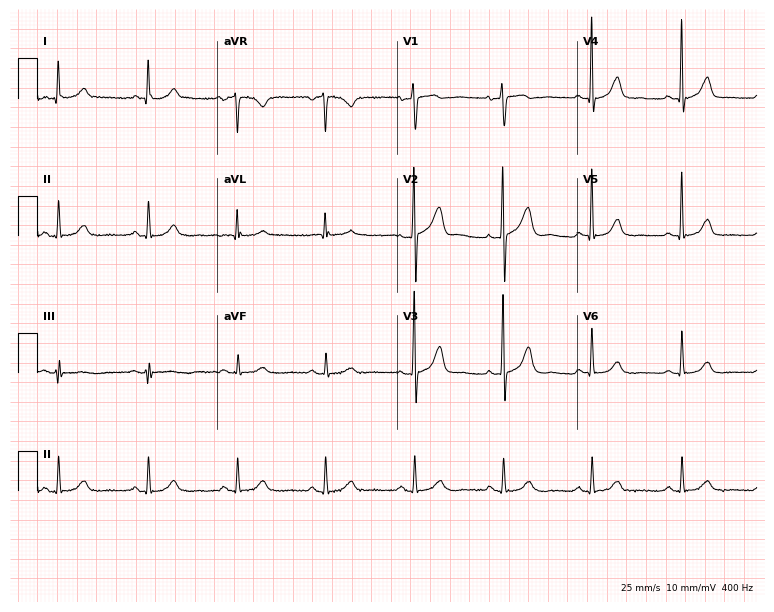
12-lead ECG from a 68-year-old male patient. Recorded interpretation: within normal limits.